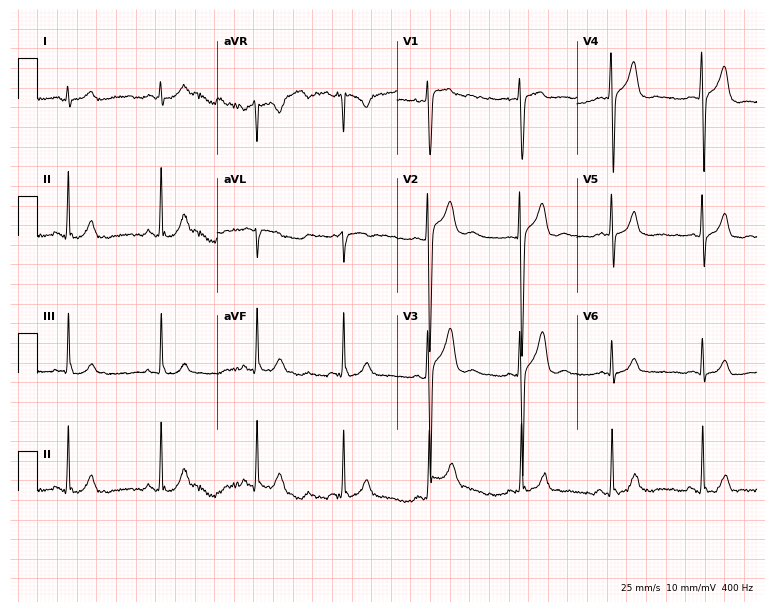
ECG (7.3-second recording at 400 Hz) — a 17-year-old man. Screened for six findings — first-degree AV block, right bundle branch block (RBBB), left bundle branch block (LBBB), sinus bradycardia, atrial fibrillation (AF), sinus tachycardia — none is recorded. Only these six findings were labelled.